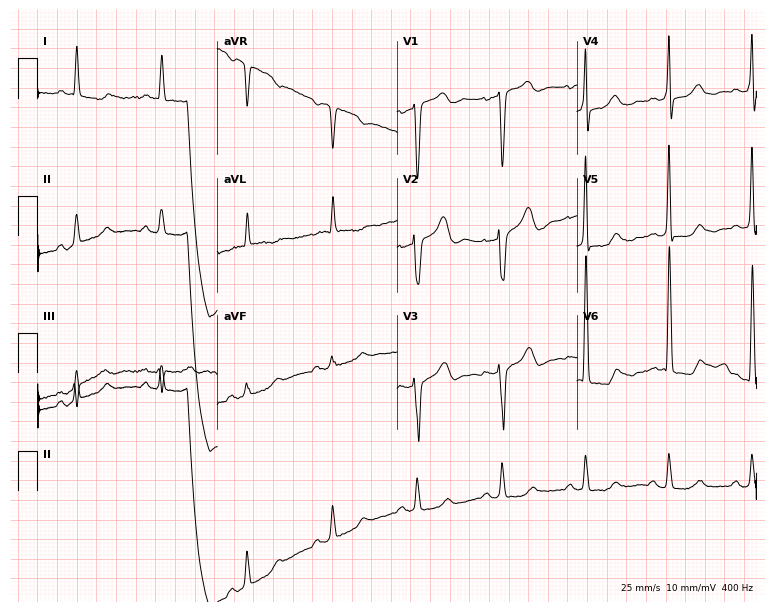
Standard 12-lead ECG recorded from a male patient, 63 years old. None of these six findings is recorded: first-degree AV block, right bundle branch block, left bundle branch block, sinus bradycardia, atrial fibrillation, sinus tachycardia.